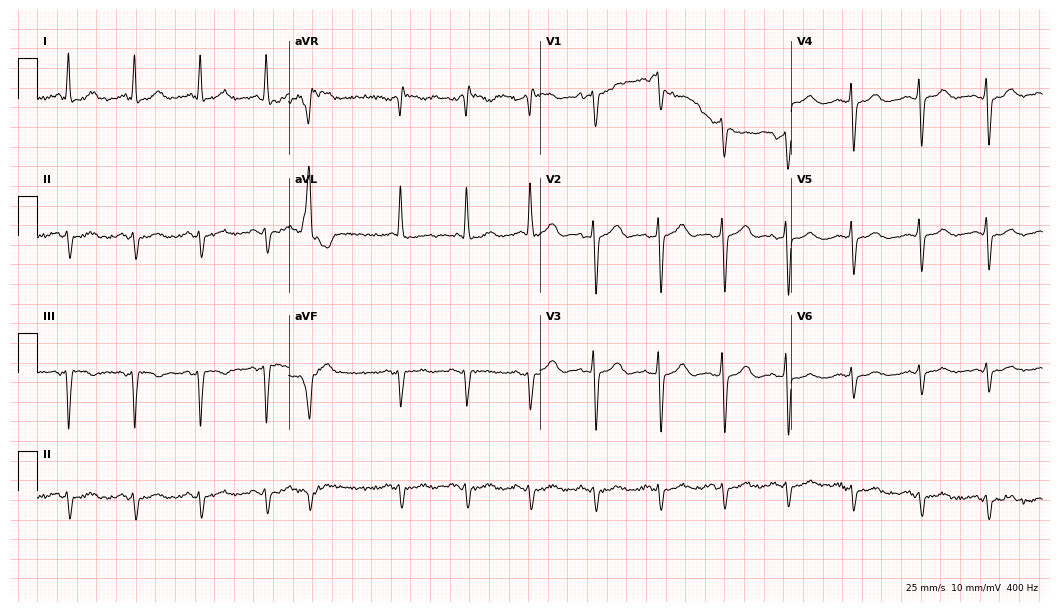
12-lead ECG from a male, 79 years old. Screened for six findings — first-degree AV block, right bundle branch block, left bundle branch block, sinus bradycardia, atrial fibrillation, sinus tachycardia — none is recorded. Findings outside these six are not listed.